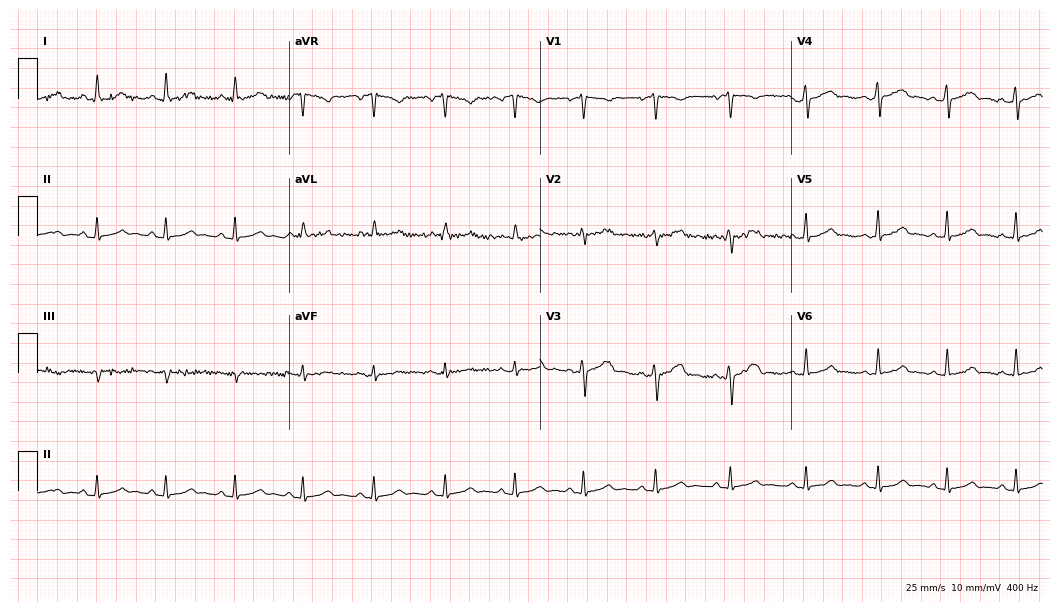
12-lead ECG from a female, 38 years old. Labelled as a normal ECG.